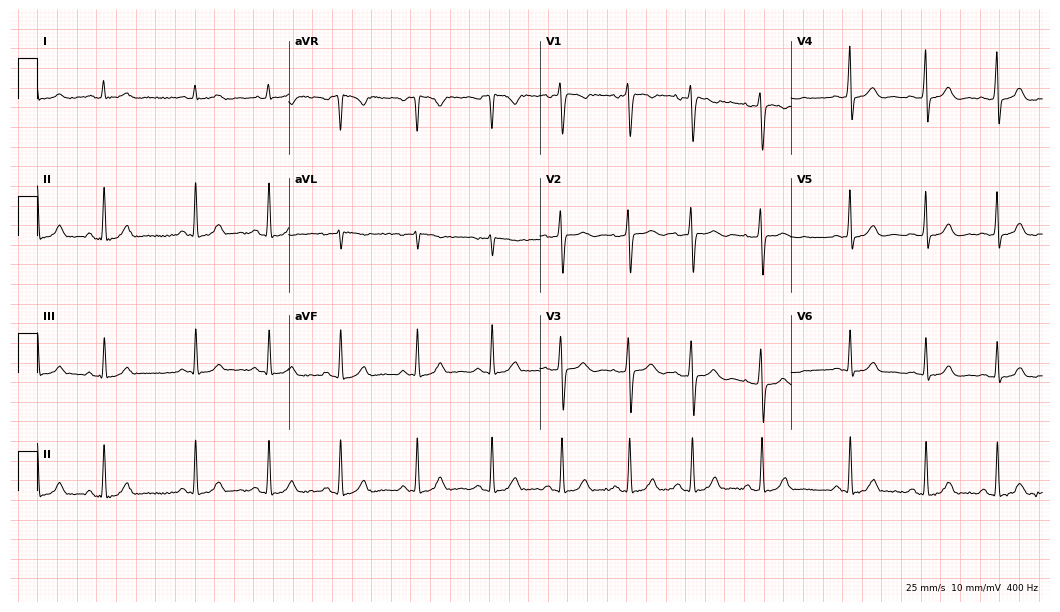
ECG (10.2-second recording at 400 Hz) — a 17-year-old female. Labelled as a normal ECG.